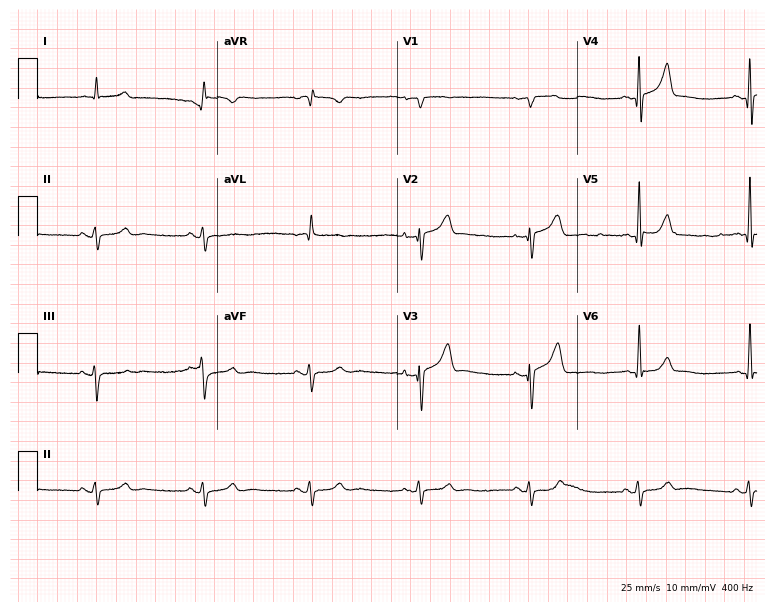
Electrocardiogram, an 82-year-old man. Of the six screened findings (first-degree AV block, right bundle branch block (RBBB), left bundle branch block (LBBB), sinus bradycardia, atrial fibrillation (AF), sinus tachycardia), none is recorded. Other findings, if any, are not listed.